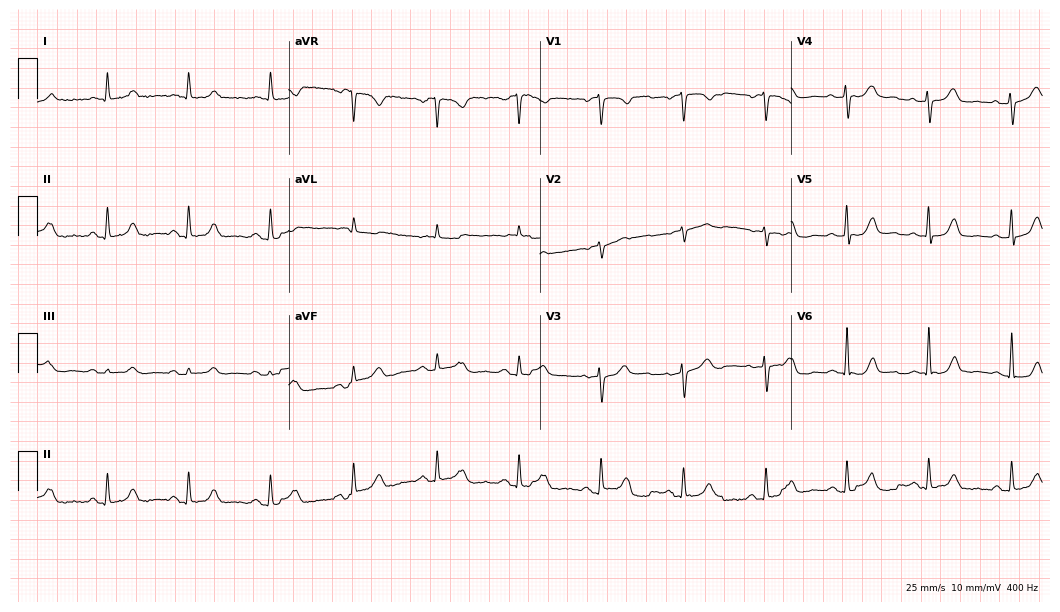
Standard 12-lead ECG recorded from a female patient, 71 years old (10.2-second recording at 400 Hz). Read as a normal ECG.